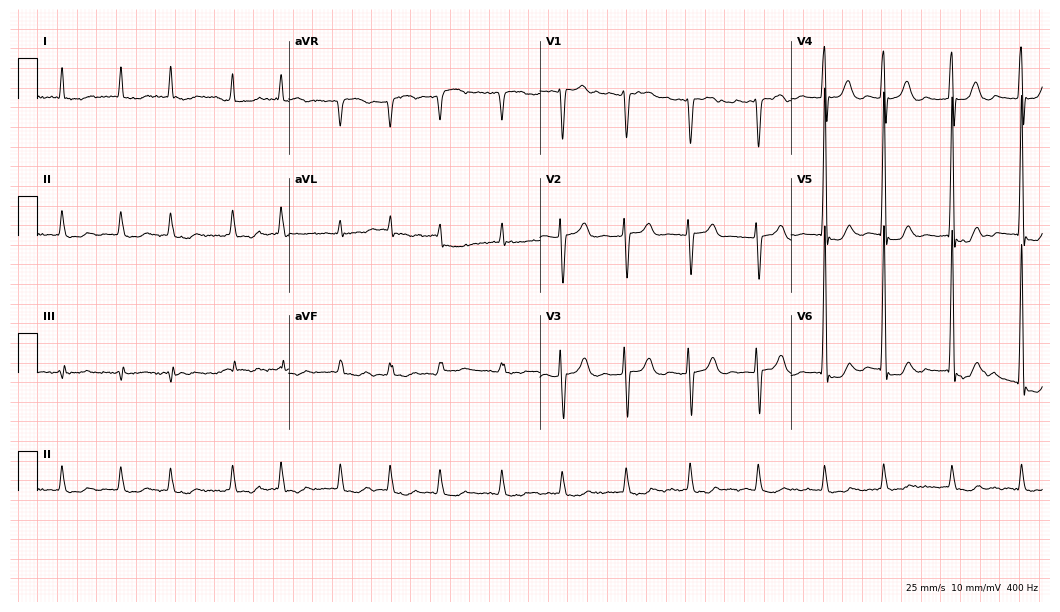
12-lead ECG from a male, 69 years old (10.2-second recording at 400 Hz). Shows atrial fibrillation.